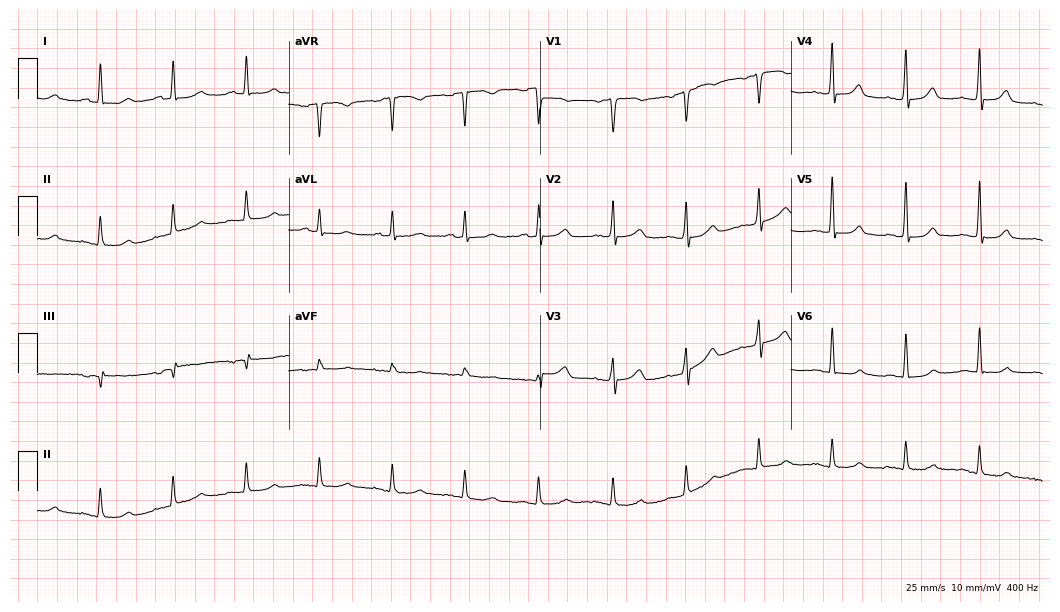
12-lead ECG from a female, 44 years old (10.2-second recording at 400 Hz). Recorded interpretation: within normal limits.